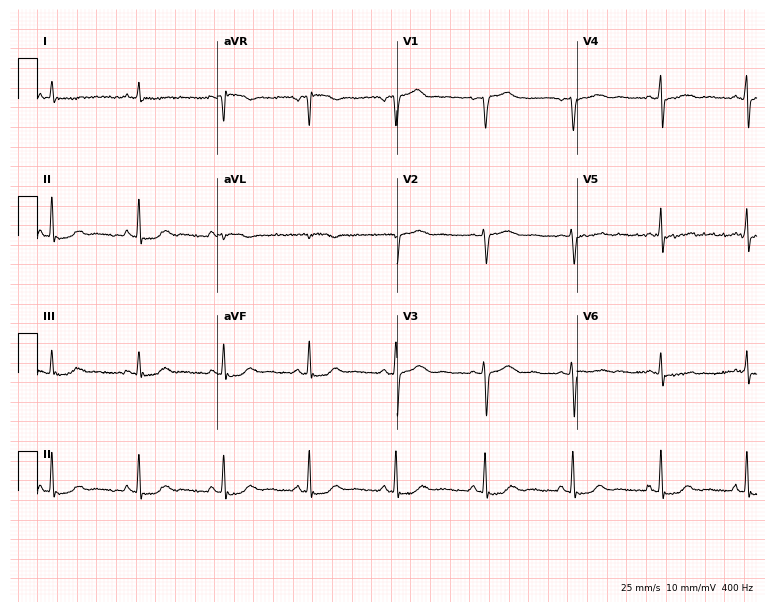
Resting 12-lead electrocardiogram (7.3-second recording at 400 Hz). Patient: a 57-year-old female. Read as a normal ECG.